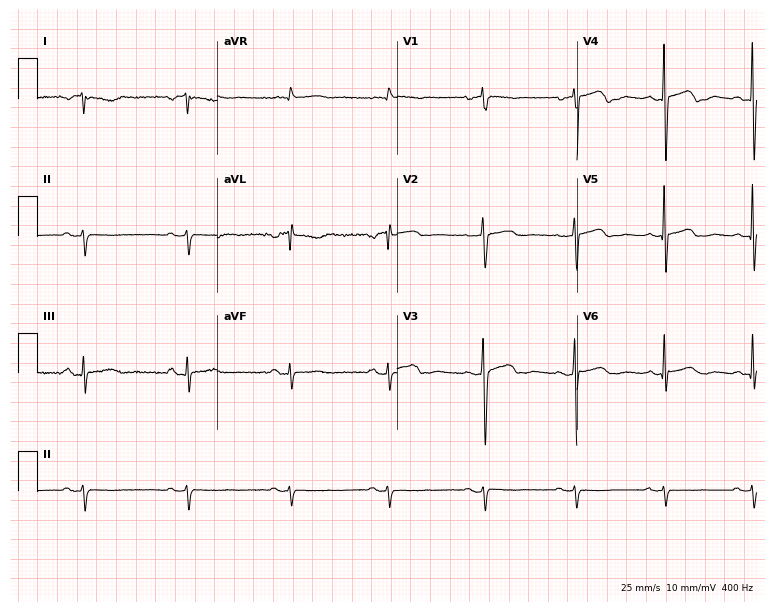
ECG (7.3-second recording at 400 Hz) — a female patient, 50 years old. Screened for six findings — first-degree AV block, right bundle branch block (RBBB), left bundle branch block (LBBB), sinus bradycardia, atrial fibrillation (AF), sinus tachycardia — none is recorded. Other findings, if any, are not listed.